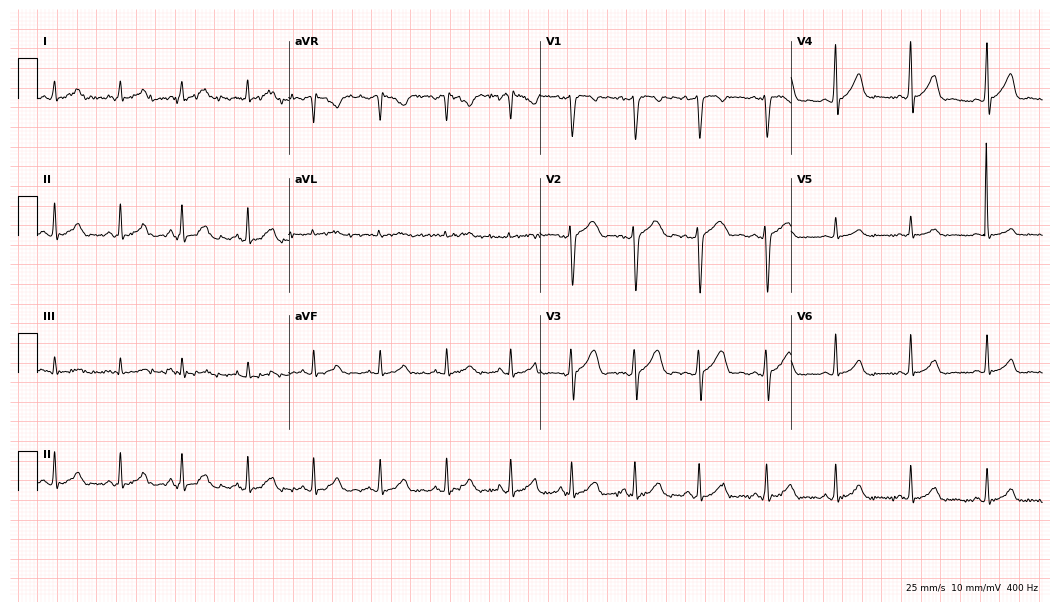
Electrocardiogram, a female, 29 years old. Overall reading on record: normal ECG.